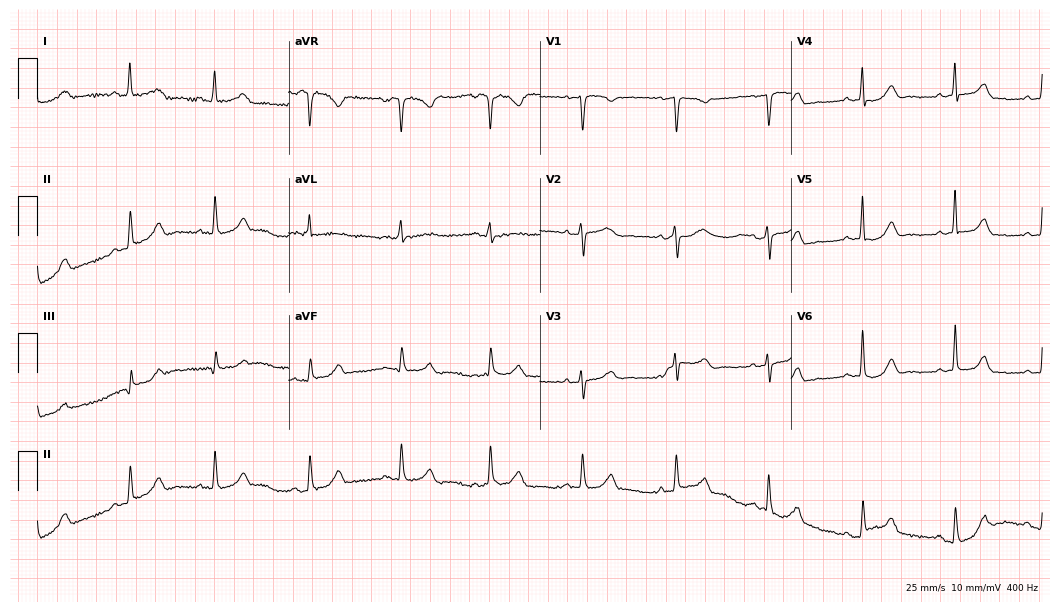
Electrocardiogram, a 58-year-old female. Overall reading on record: normal ECG.